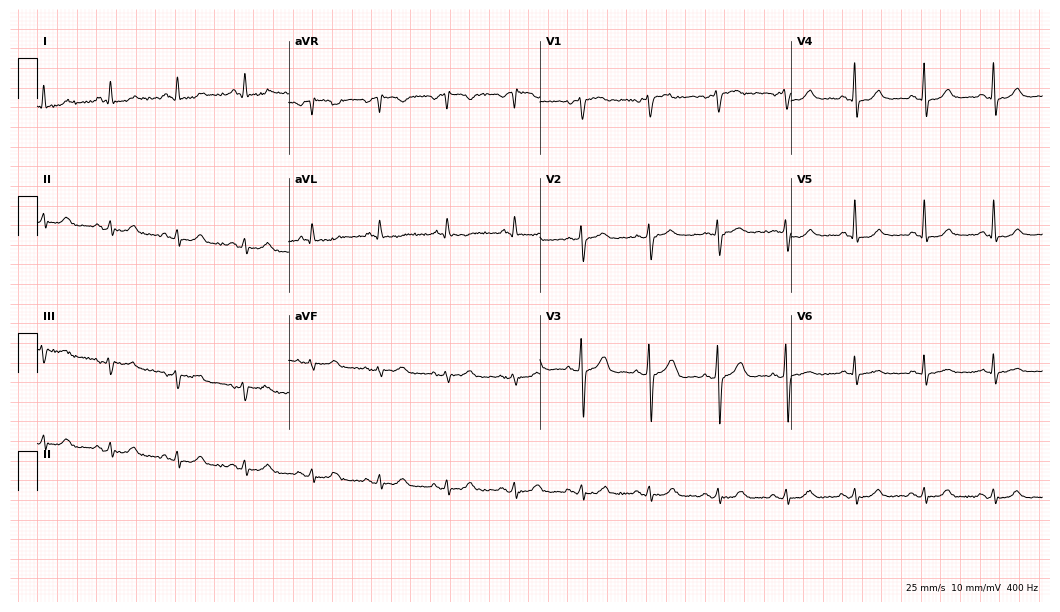
Standard 12-lead ECG recorded from a 79-year-old man. Read as a normal ECG.